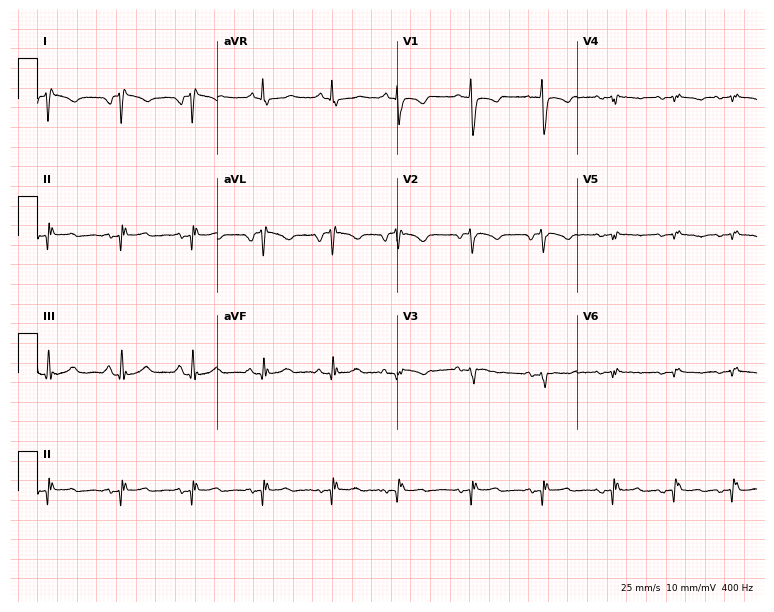
Electrocardiogram (7.3-second recording at 400 Hz), a 67-year-old female. Of the six screened findings (first-degree AV block, right bundle branch block (RBBB), left bundle branch block (LBBB), sinus bradycardia, atrial fibrillation (AF), sinus tachycardia), none is recorded.